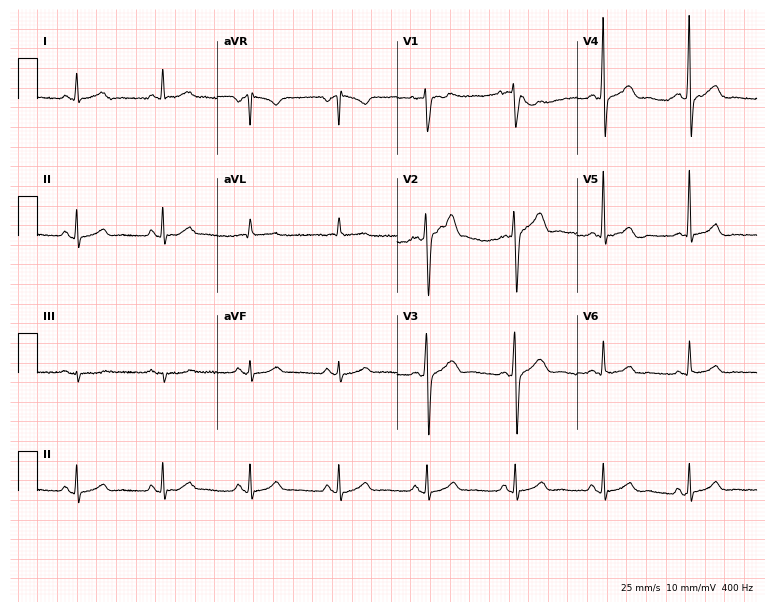
12-lead ECG from a man, 59 years old. Labelled as a normal ECG.